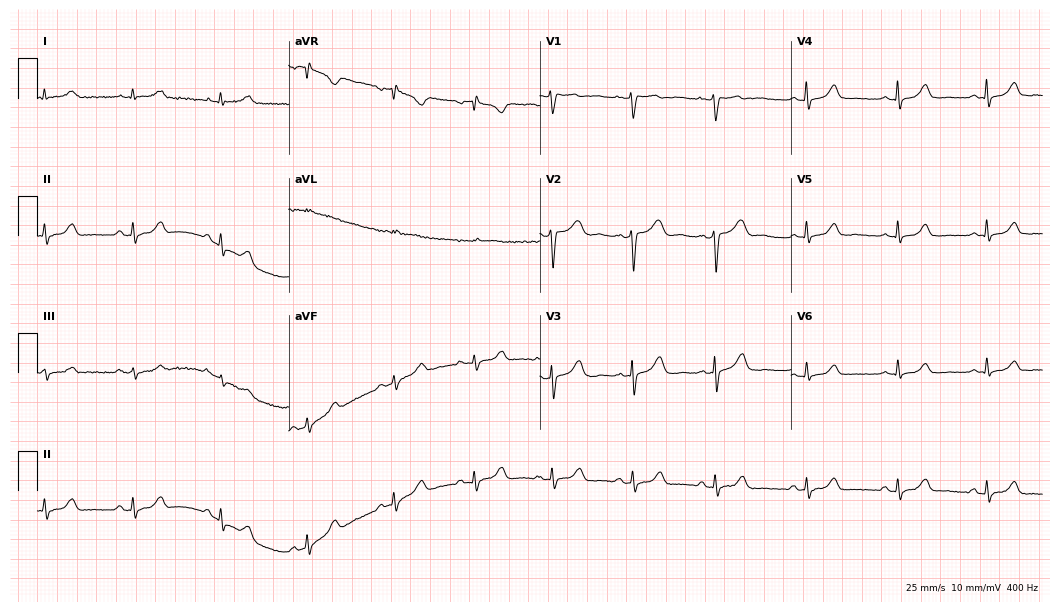
Resting 12-lead electrocardiogram (10.2-second recording at 400 Hz). Patient: a 46-year-old woman. Read as a normal ECG.